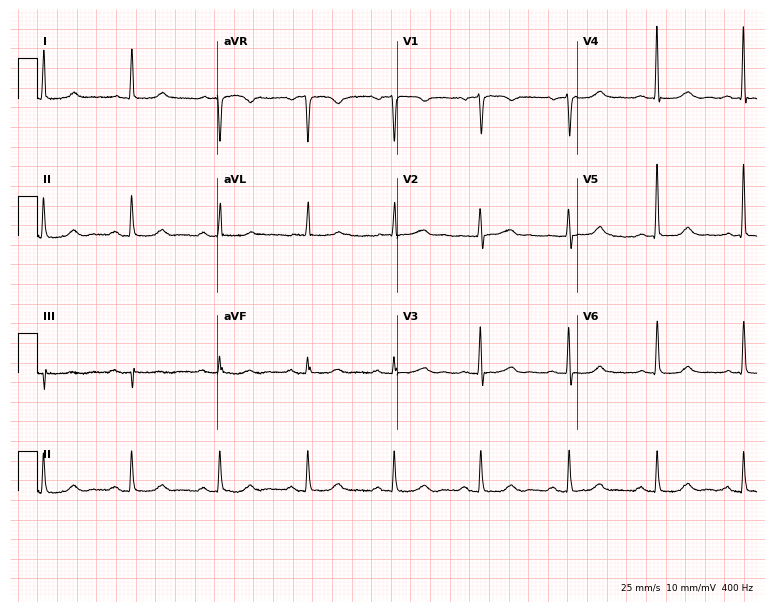
ECG — a 77-year-old woman. Labelled as a normal ECG.